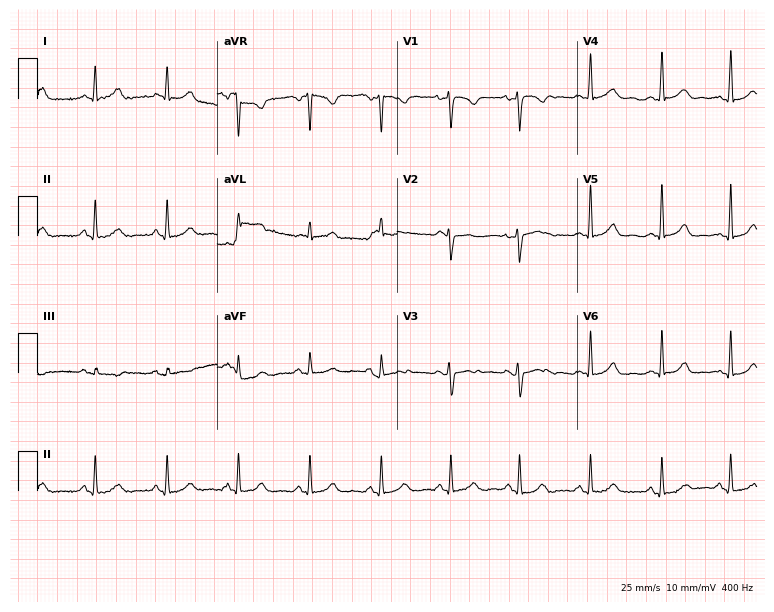
Resting 12-lead electrocardiogram. Patient: a 32-year-old female. Read as a normal ECG.